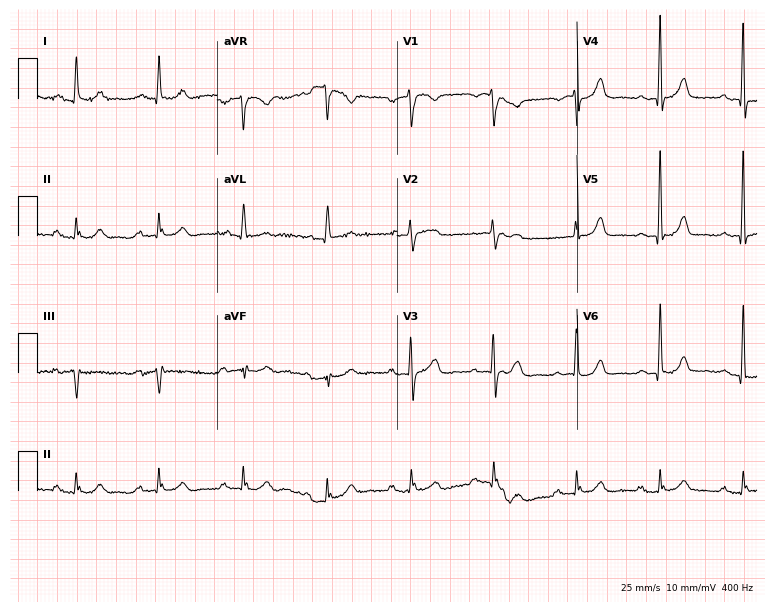
12-lead ECG from a man, 82 years old (7.3-second recording at 400 Hz). Shows first-degree AV block.